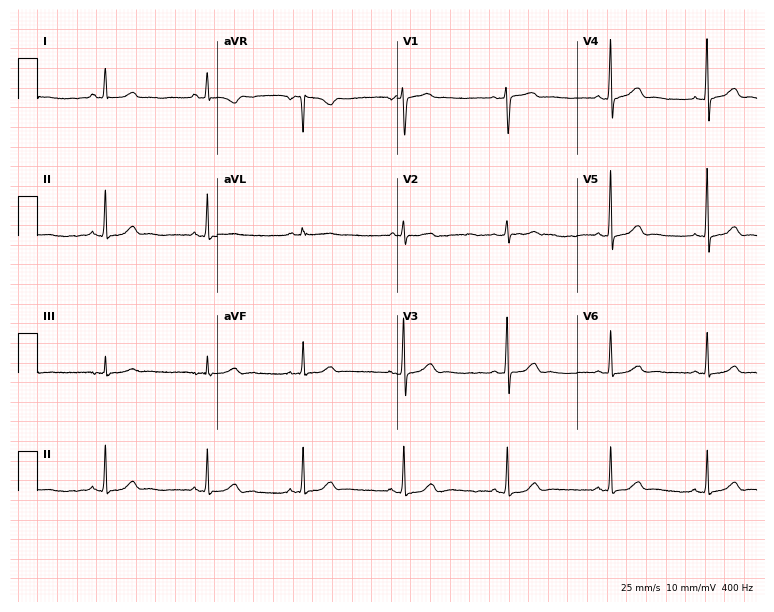
Standard 12-lead ECG recorded from a female patient, 34 years old (7.3-second recording at 400 Hz). Read as a normal ECG.